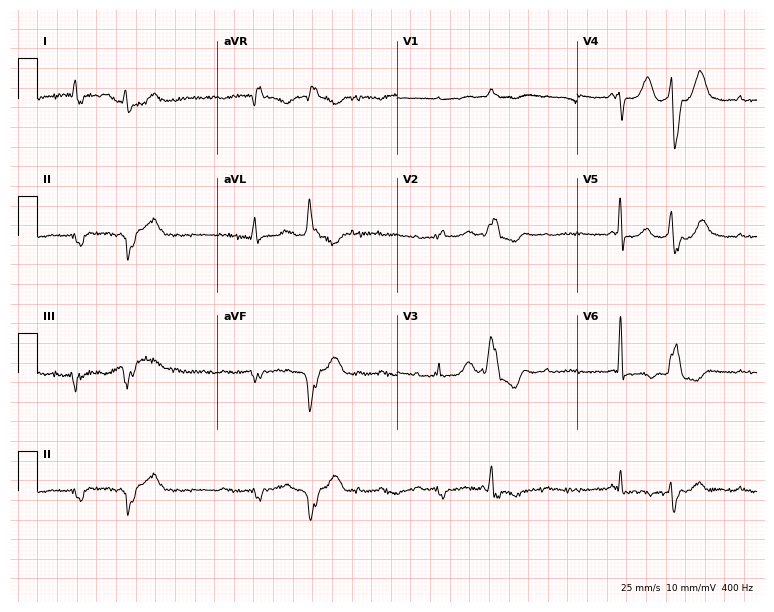
Resting 12-lead electrocardiogram (7.3-second recording at 400 Hz). Patient: a 69-year-old female. None of these six findings is recorded: first-degree AV block, right bundle branch block (RBBB), left bundle branch block (LBBB), sinus bradycardia, atrial fibrillation (AF), sinus tachycardia.